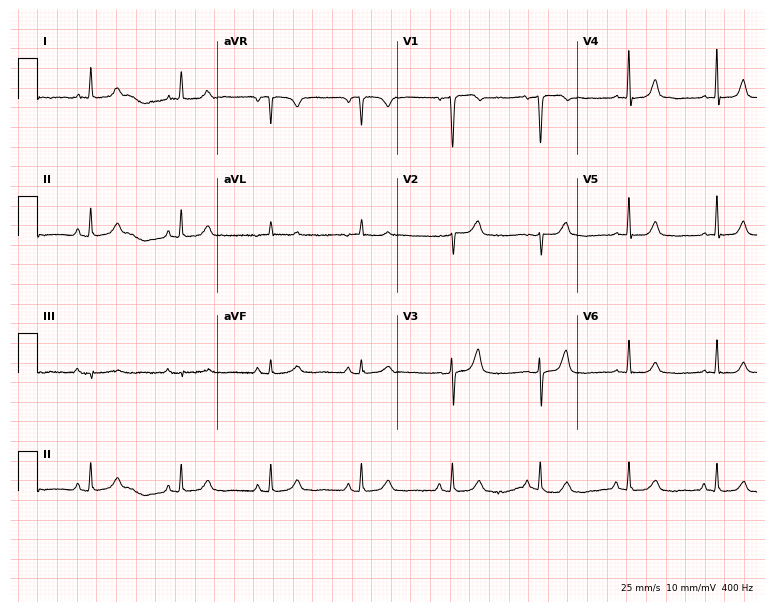
12-lead ECG (7.3-second recording at 400 Hz) from a female, 57 years old. Screened for six findings — first-degree AV block, right bundle branch block (RBBB), left bundle branch block (LBBB), sinus bradycardia, atrial fibrillation (AF), sinus tachycardia — none is recorded. Only these six findings were labelled.